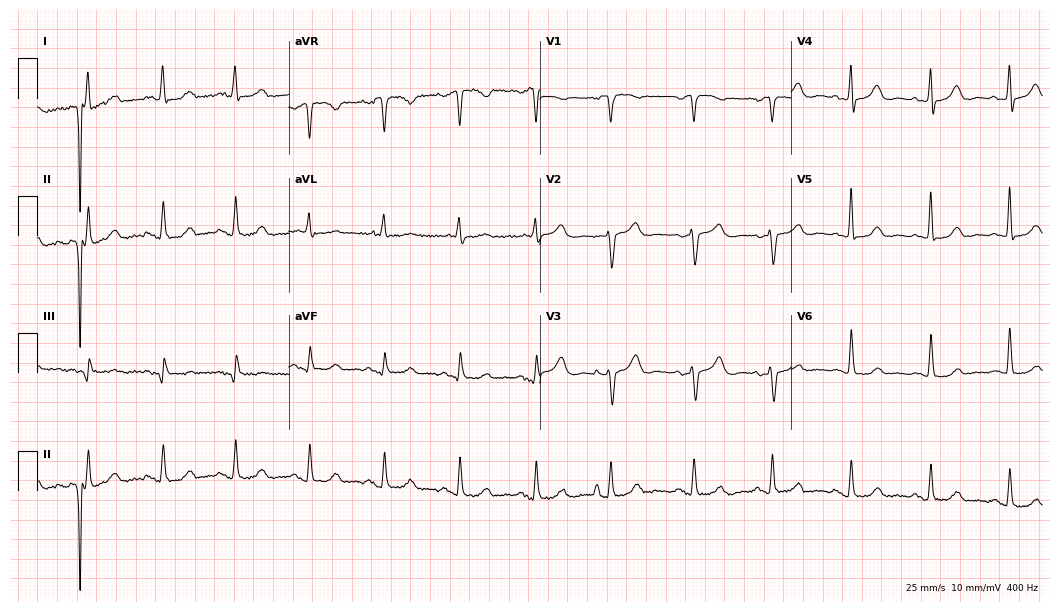
Standard 12-lead ECG recorded from a 64-year-old woman (10.2-second recording at 400 Hz). None of these six findings is recorded: first-degree AV block, right bundle branch block (RBBB), left bundle branch block (LBBB), sinus bradycardia, atrial fibrillation (AF), sinus tachycardia.